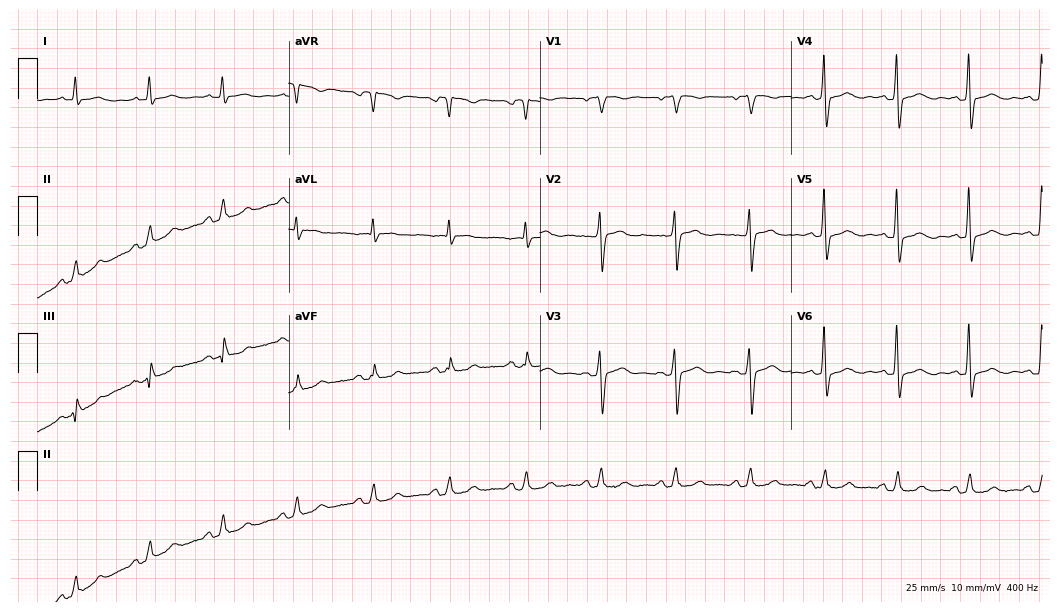
Electrocardiogram (10.2-second recording at 400 Hz), a 65-year-old male. Of the six screened findings (first-degree AV block, right bundle branch block (RBBB), left bundle branch block (LBBB), sinus bradycardia, atrial fibrillation (AF), sinus tachycardia), none is recorded. Other findings, if any, are not listed.